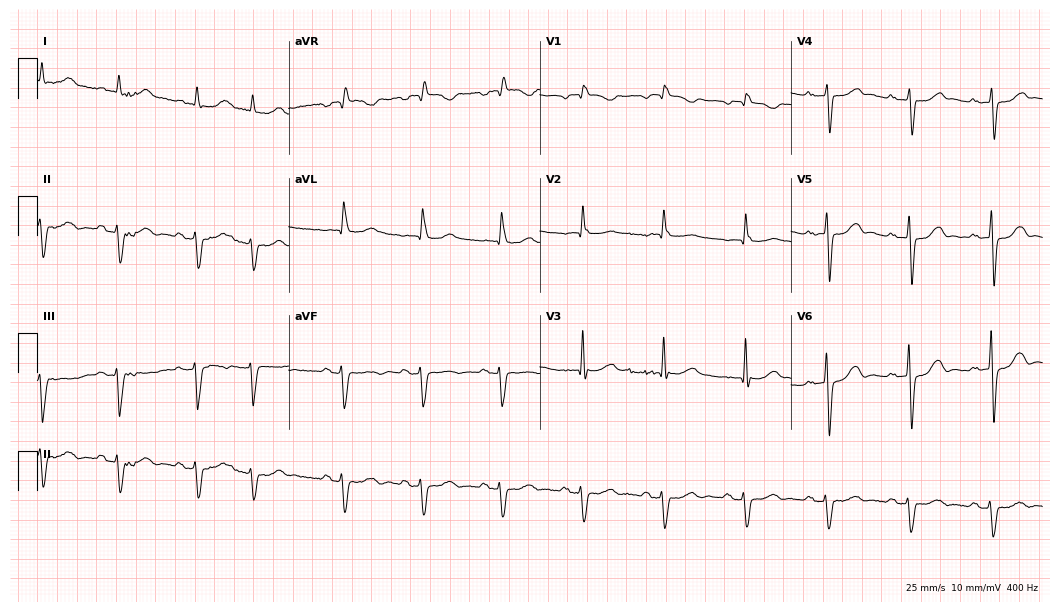
Electrocardiogram, a male, 83 years old. Of the six screened findings (first-degree AV block, right bundle branch block, left bundle branch block, sinus bradycardia, atrial fibrillation, sinus tachycardia), none is recorded.